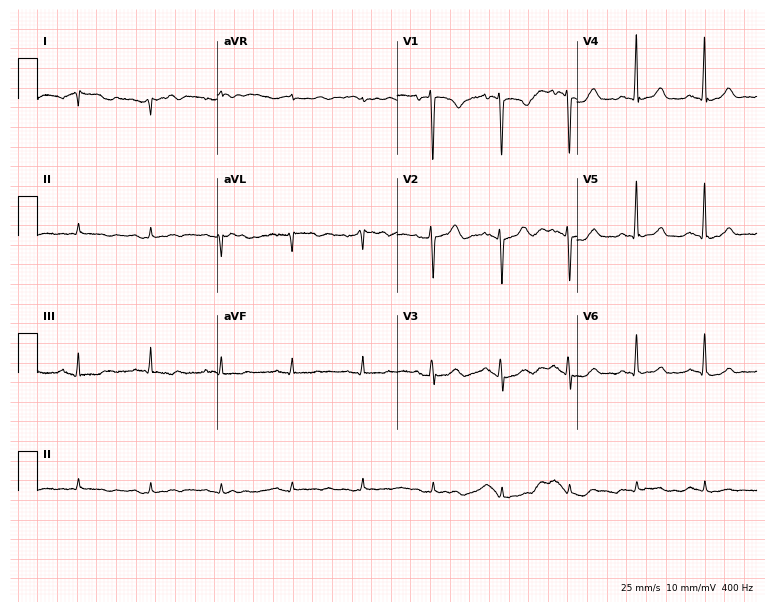
Standard 12-lead ECG recorded from a 69-year-old female patient (7.3-second recording at 400 Hz). None of these six findings is recorded: first-degree AV block, right bundle branch block, left bundle branch block, sinus bradycardia, atrial fibrillation, sinus tachycardia. Findings outside these six are not listed.